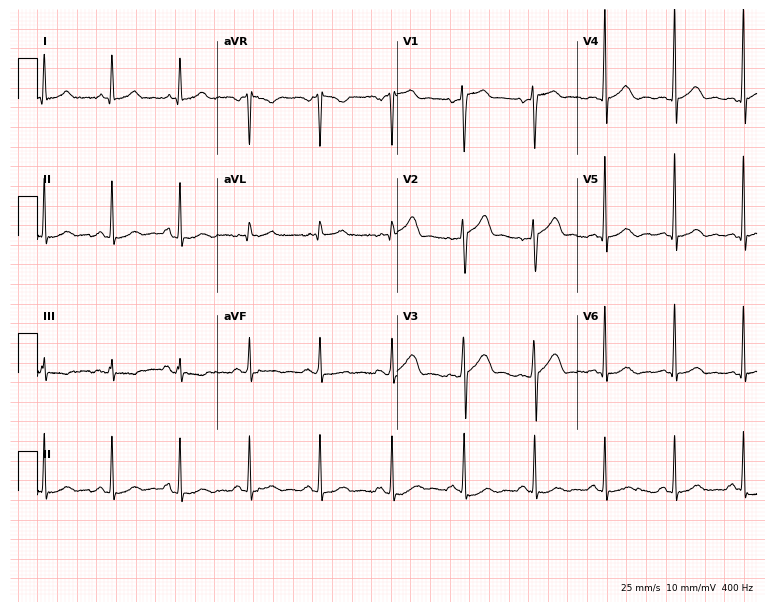
Standard 12-lead ECG recorded from a 52-year-old male patient (7.3-second recording at 400 Hz). Read as a normal ECG.